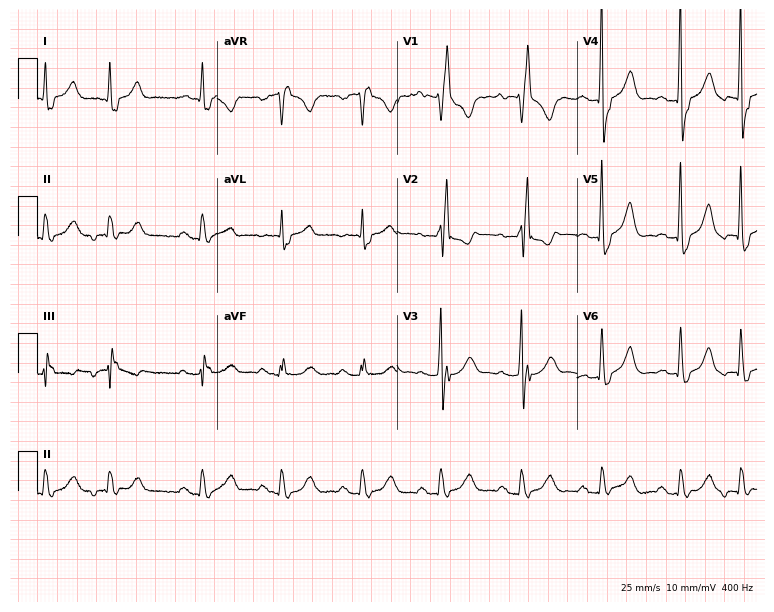
12-lead ECG from a female patient, 85 years old. Shows right bundle branch block.